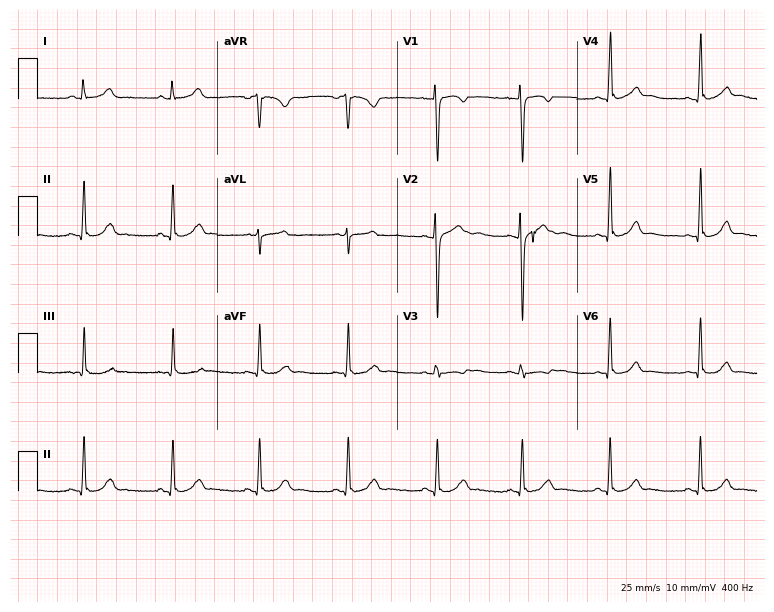
ECG (7.3-second recording at 400 Hz) — a woman, 24 years old. Screened for six findings — first-degree AV block, right bundle branch block (RBBB), left bundle branch block (LBBB), sinus bradycardia, atrial fibrillation (AF), sinus tachycardia — none is recorded. Findings outside these six are not listed.